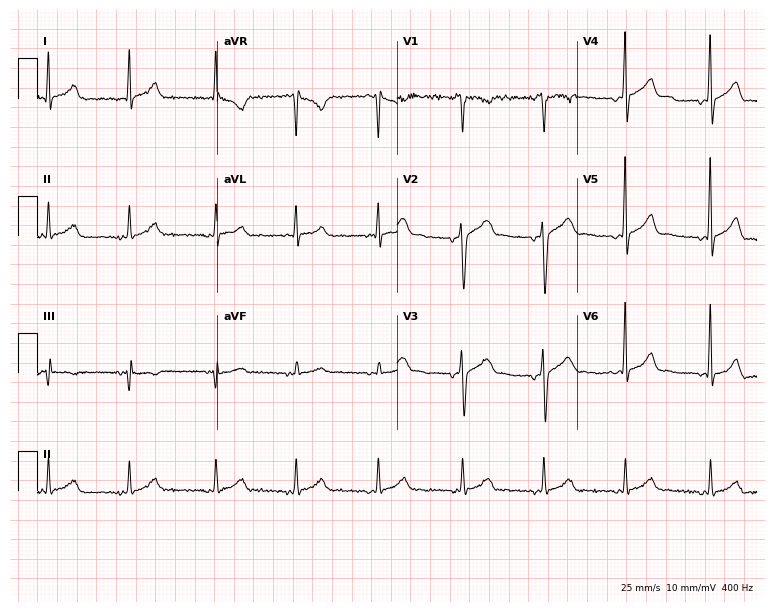
ECG (7.3-second recording at 400 Hz) — a 38-year-old man. Screened for six findings — first-degree AV block, right bundle branch block, left bundle branch block, sinus bradycardia, atrial fibrillation, sinus tachycardia — none is recorded.